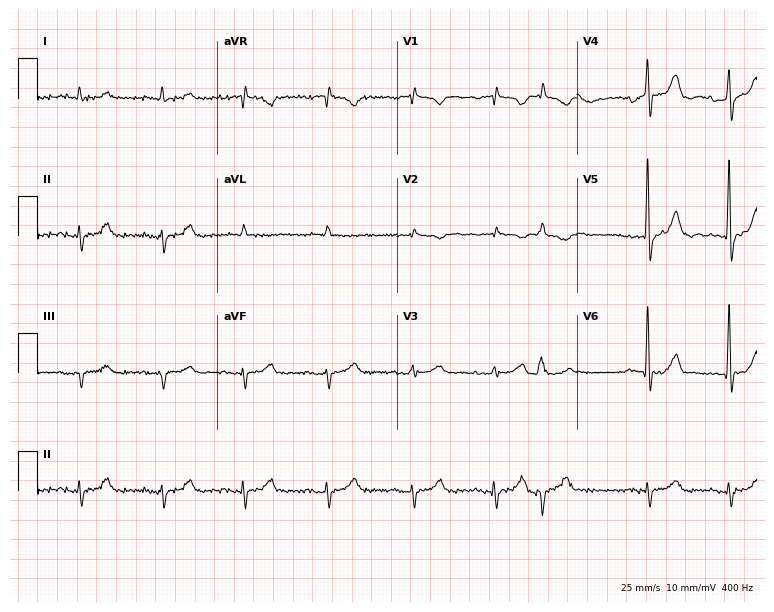
Resting 12-lead electrocardiogram. Patient: a man, 83 years old. None of these six findings is recorded: first-degree AV block, right bundle branch block, left bundle branch block, sinus bradycardia, atrial fibrillation, sinus tachycardia.